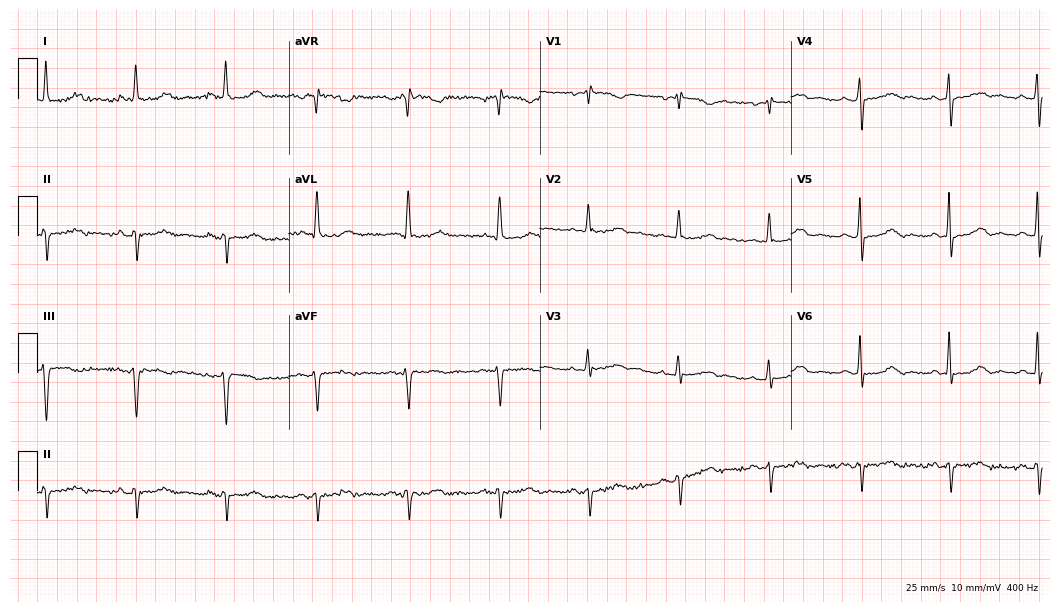
12-lead ECG from a female, 72 years old. Screened for six findings — first-degree AV block, right bundle branch block, left bundle branch block, sinus bradycardia, atrial fibrillation, sinus tachycardia — none is recorded. Other findings, if any, are not listed.